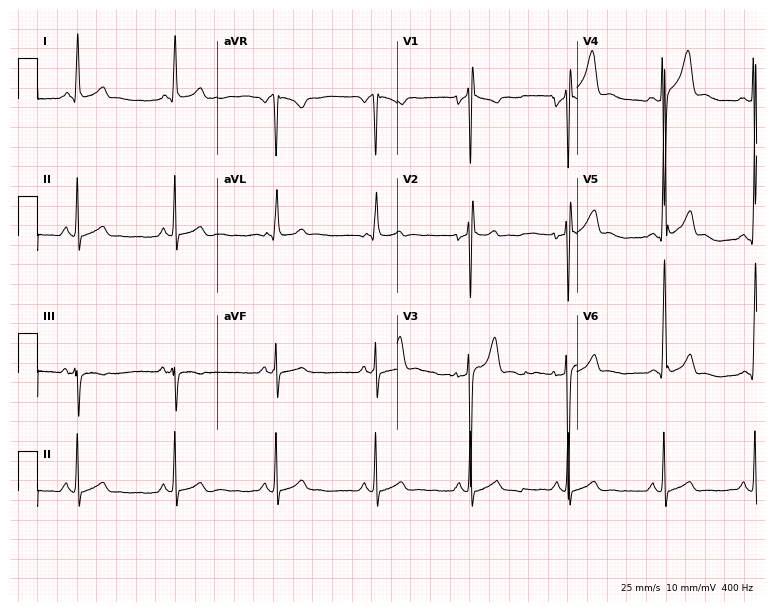
Resting 12-lead electrocardiogram (7.3-second recording at 400 Hz). Patient: a male, 21 years old. None of these six findings is recorded: first-degree AV block, right bundle branch block, left bundle branch block, sinus bradycardia, atrial fibrillation, sinus tachycardia.